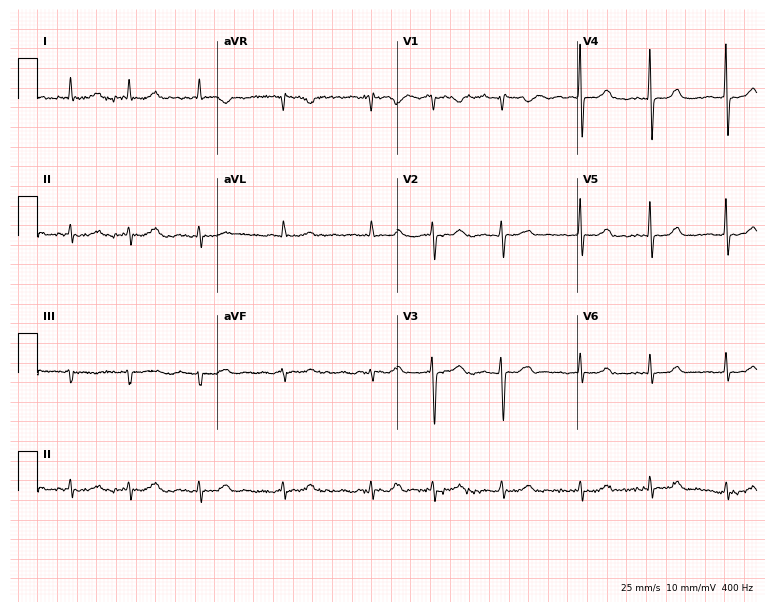
12-lead ECG (7.3-second recording at 400 Hz) from a 79-year-old female. Screened for six findings — first-degree AV block, right bundle branch block (RBBB), left bundle branch block (LBBB), sinus bradycardia, atrial fibrillation (AF), sinus tachycardia — none is recorded.